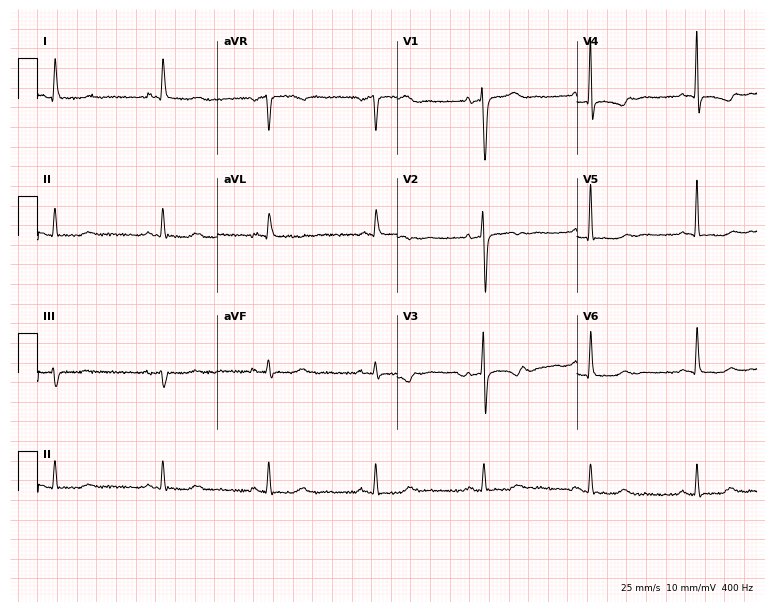
Electrocardiogram (7.3-second recording at 400 Hz), a 60-year-old female. Of the six screened findings (first-degree AV block, right bundle branch block, left bundle branch block, sinus bradycardia, atrial fibrillation, sinus tachycardia), none is recorded. Other findings, if any, are not listed.